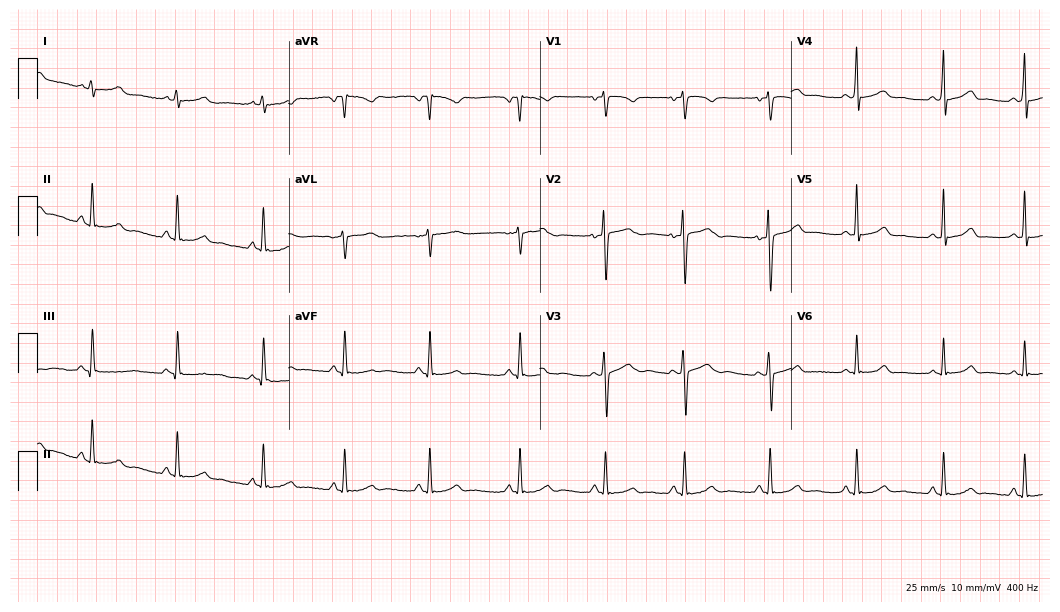
Standard 12-lead ECG recorded from a 23-year-old female patient. Read as a normal ECG.